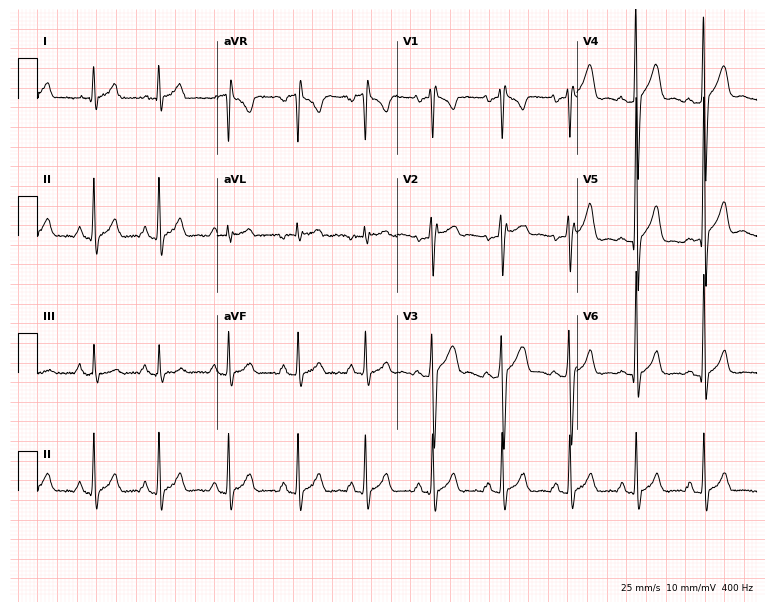
12-lead ECG from a male patient, 20 years old (7.3-second recording at 400 Hz). No first-degree AV block, right bundle branch block (RBBB), left bundle branch block (LBBB), sinus bradycardia, atrial fibrillation (AF) or sinus tachycardia recorded for this tracing. Findings outside these six are not listed.